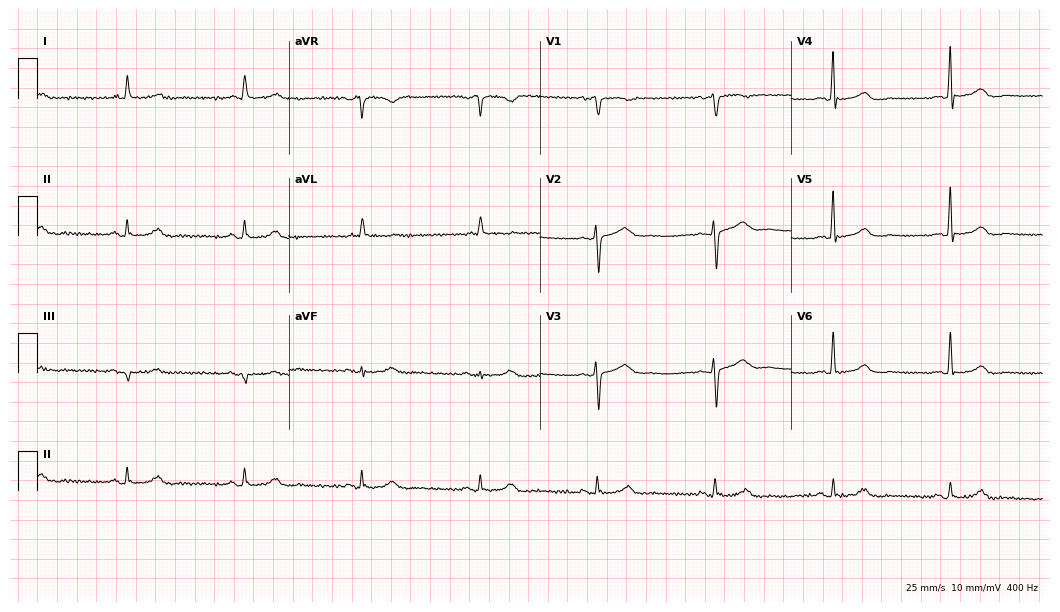
Resting 12-lead electrocardiogram (10.2-second recording at 400 Hz). Patient: a 65-year-old female. None of these six findings is recorded: first-degree AV block, right bundle branch block, left bundle branch block, sinus bradycardia, atrial fibrillation, sinus tachycardia.